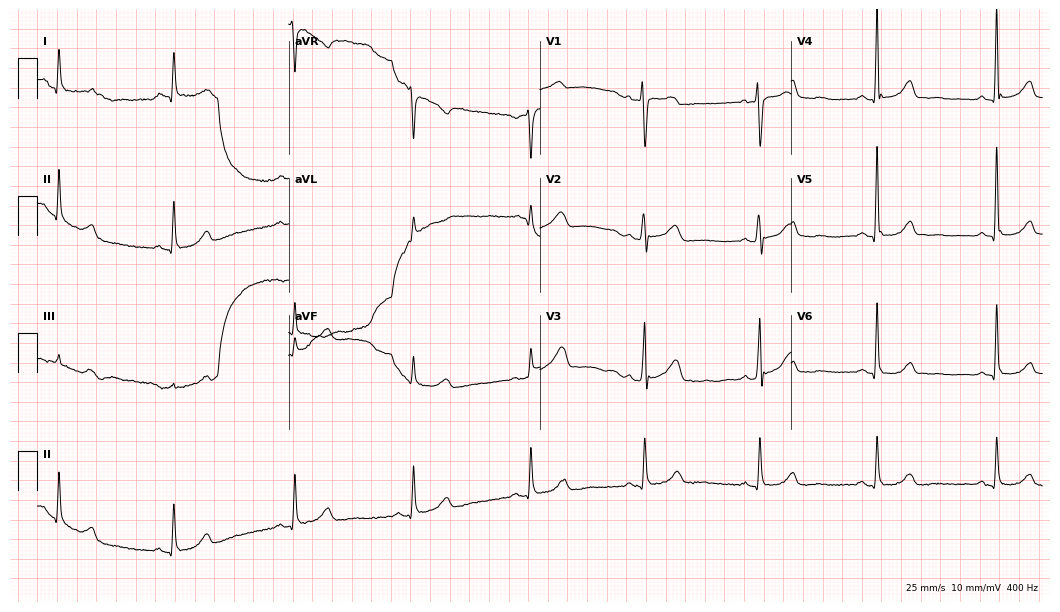
12-lead ECG from a female, 61 years old. No first-degree AV block, right bundle branch block, left bundle branch block, sinus bradycardia, atrial fibrillation or sinus tachycardia recorded for this tracing. Other findings, if any, are not listed.